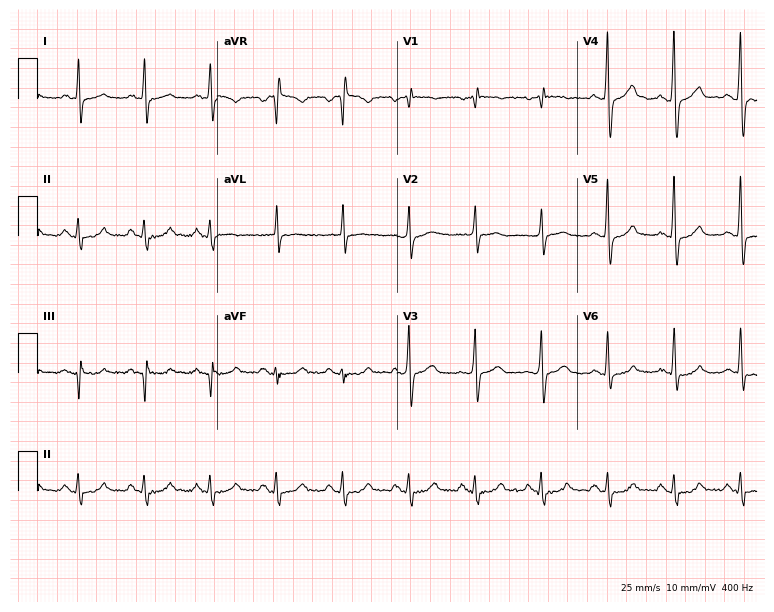
Resting 12-lead electrocardiogram. Patient: a male, 61 years old. None of these six findings is recorded: first-degree AV block, right bundle branch block, left bundle branch block, sinus bradycardia, atrial fibrillation, sinus tachycardia.